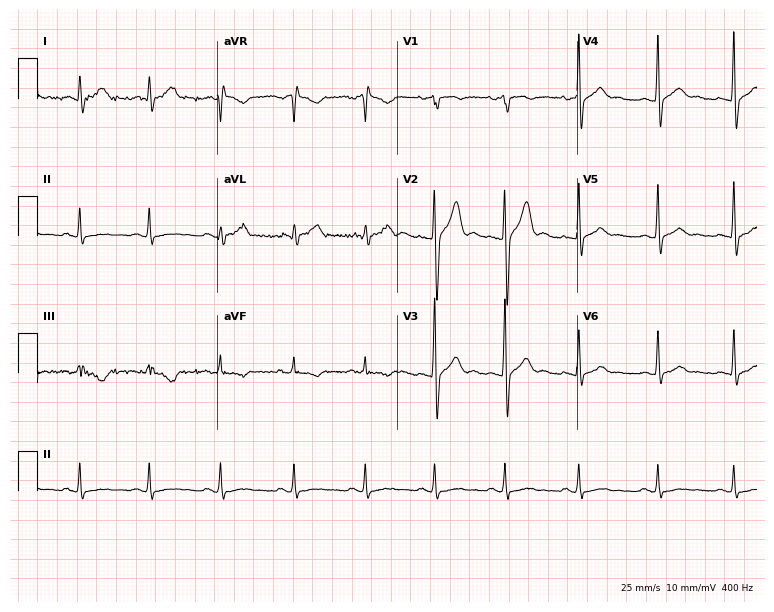
12-lead ECG (7.3-second recording at 400 Hz) from a 31-year-old male patient. Screened for six findings — first-degree AV block, right bundle branch block, left bundle branch block, sinus bradycardia, atrial fibrillation, sinus tachycardia — none is recorded. Other findings, if any, are not listed.